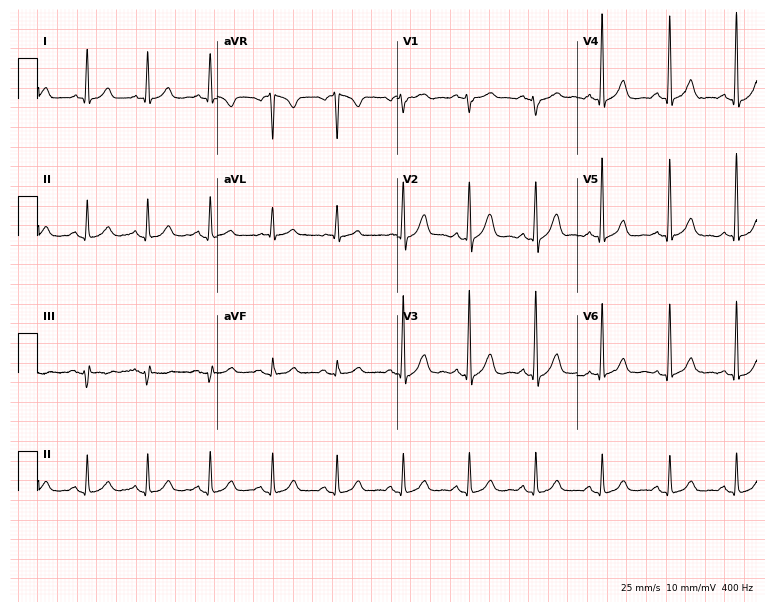
12-lead ECG from a man, 61 years old (7.3-second recording at 400 Hz). Recorded interpretation: within normal limits.